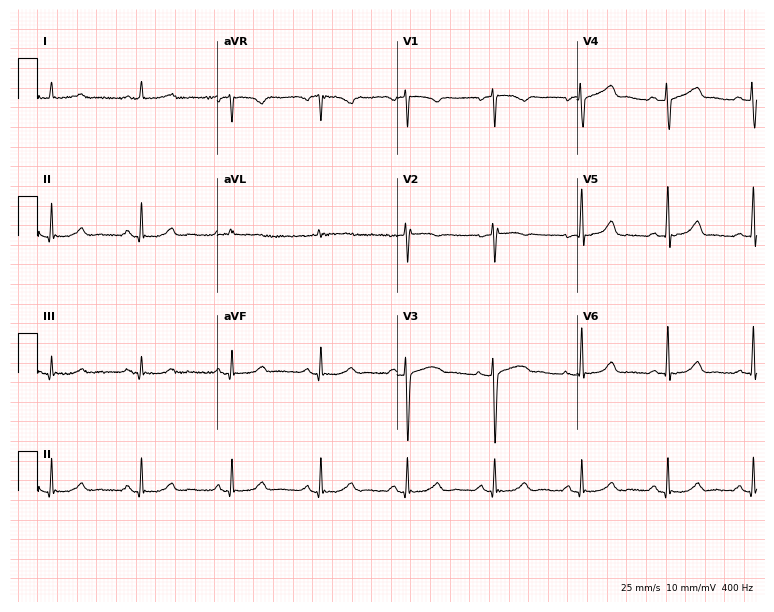
12-lead ECG from a 57-year-old woman. Screened for six findings — first-degree AV block, right bundle branch block, left bundle branch block, sinus bradycardia, atrial fibrillation, sinus tachycardia — none is recorded.